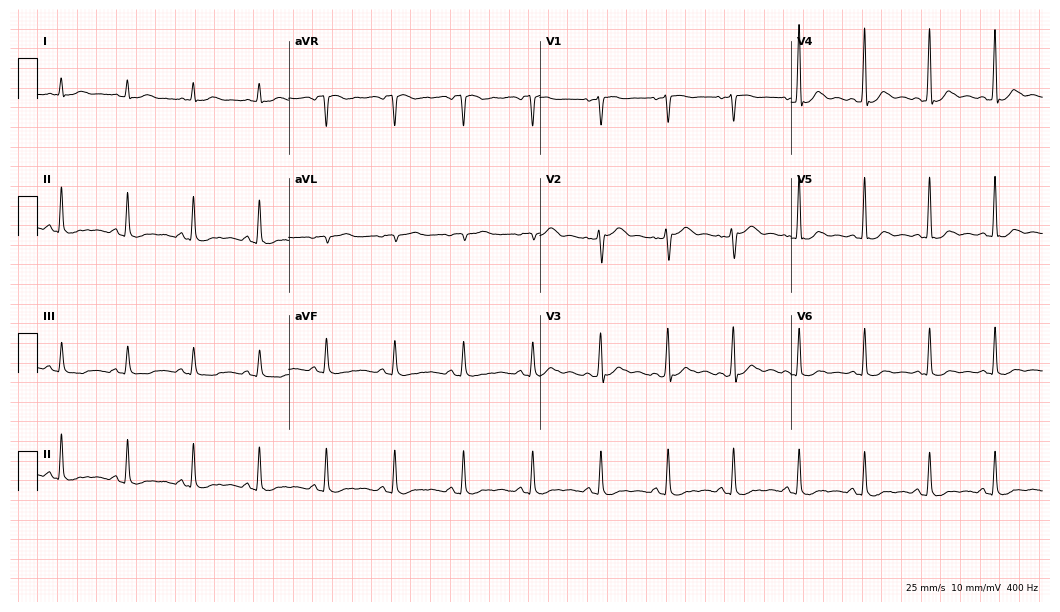
ECG (10.2-second recording at 400 Hz) — a 62-year-old female patient. Screened for six findings — first-degree AV block, right bundle branch block, left bundle branch block, sinus bradycardia, atrial fibrillation, sinus tachycardia — none is recorded.